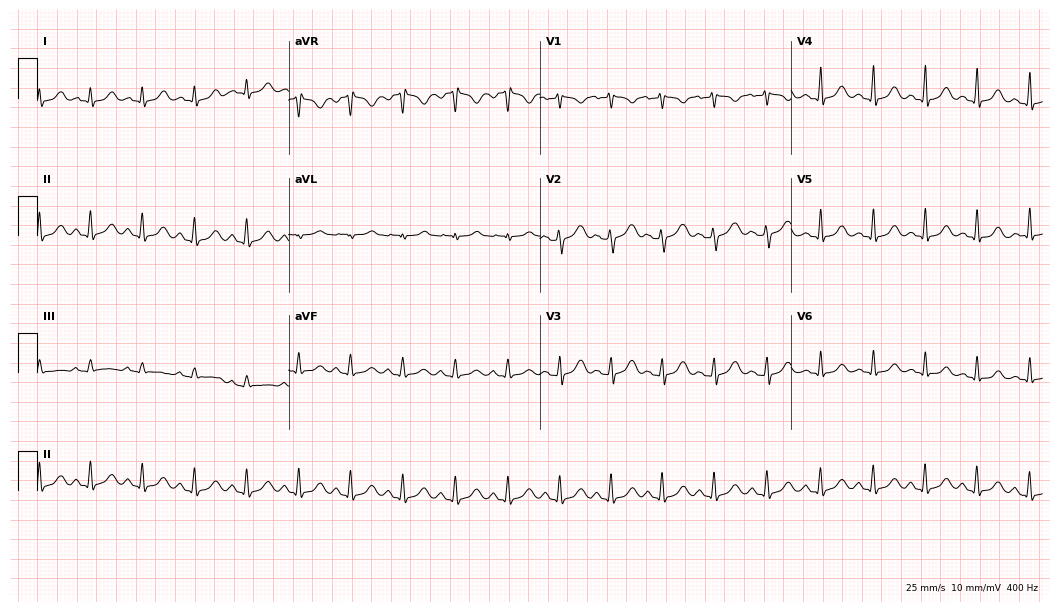
Standard 12-lead ECG recorded from a 27-year-old female patient (10.2-second recording at 400 Hz). The tracing shows sinus tachycardia (a sinus rate of 100 beats per minute or more).